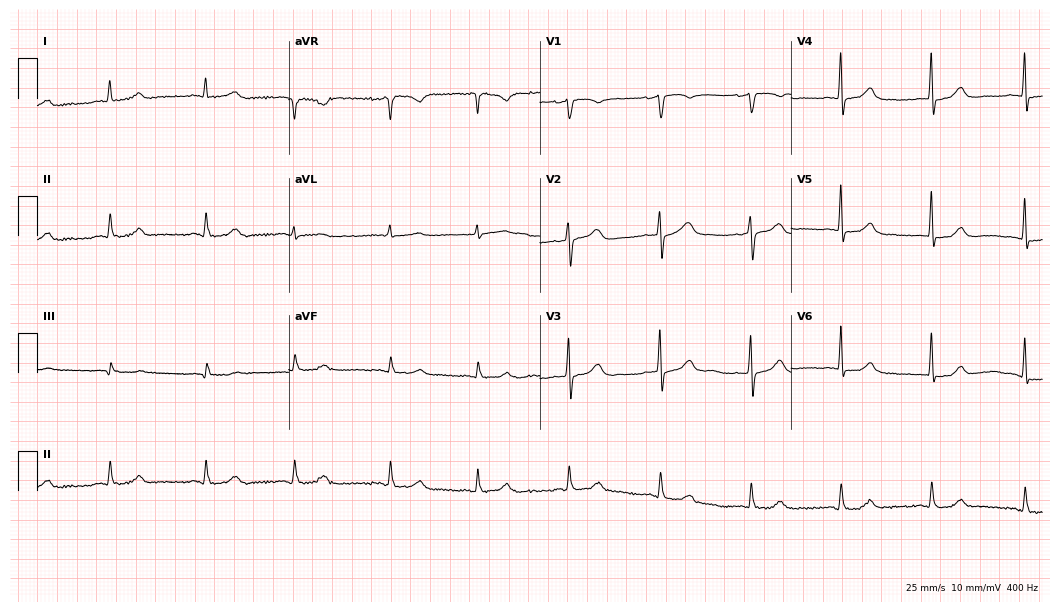
ECG (10.2-second recording at 400 Hz) — an 80-year-old female patient. Screened for six findings — first-degree AV block, right bundle branch block, left bundle branch block, sinus bradycardia, atrial fibrillation, sinus tachycardia — none is recorded. Only these six findings were labelled.